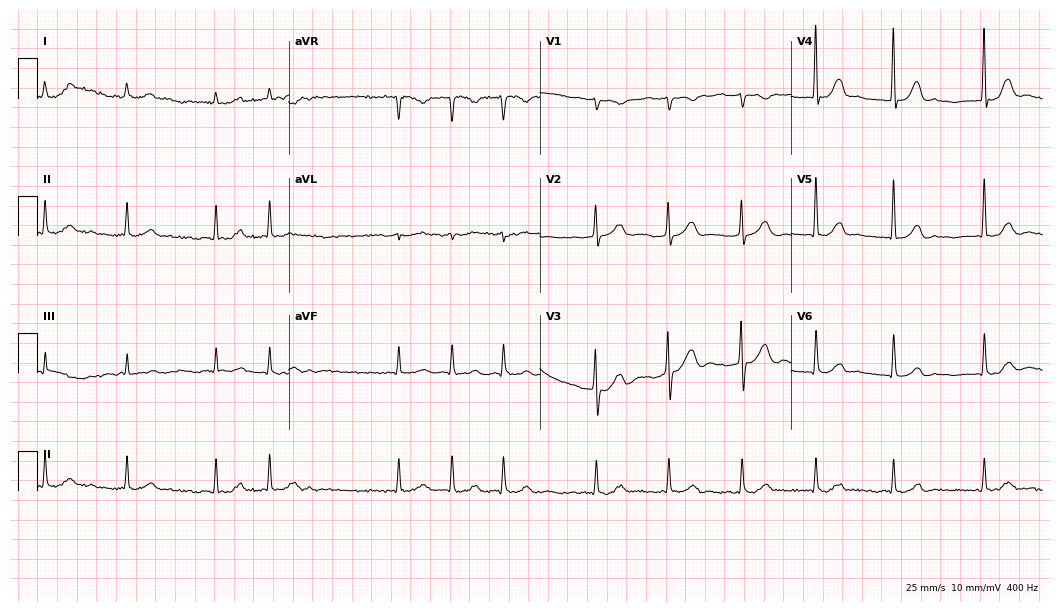
ECG — a female patient, 78 years old. Findings include atrial fibrillation.